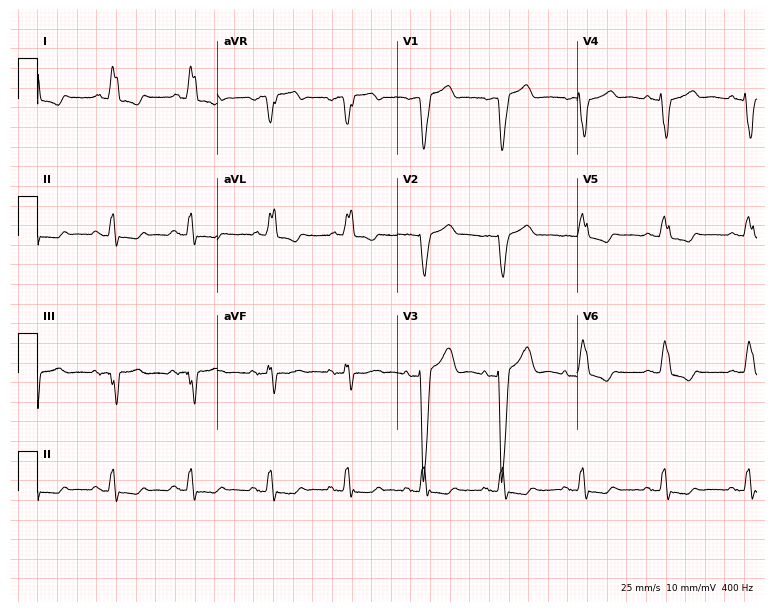
Resting 12-lead electrocardiogram (7.3-second recording at 400 Hz). Patient: a female, 80 years old. The tracing shows left bundle branch block (LBBB).